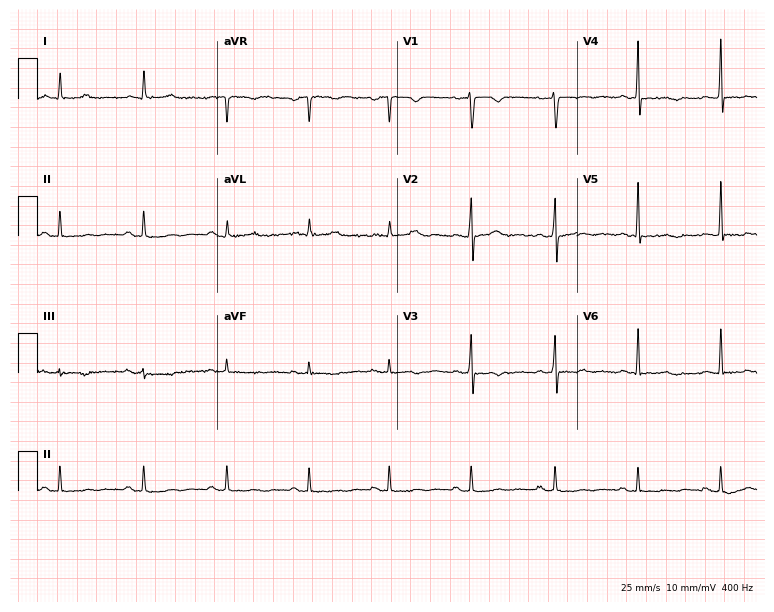
12-lead ECG from a female patient, 43 years old. No first-degree AV block, right bundle branch block (RBBB), left bundle branch block (LBBB), sinus bradycardia, atrial fibrillation (AF) or sinus tachycardia recorded for this tracing.